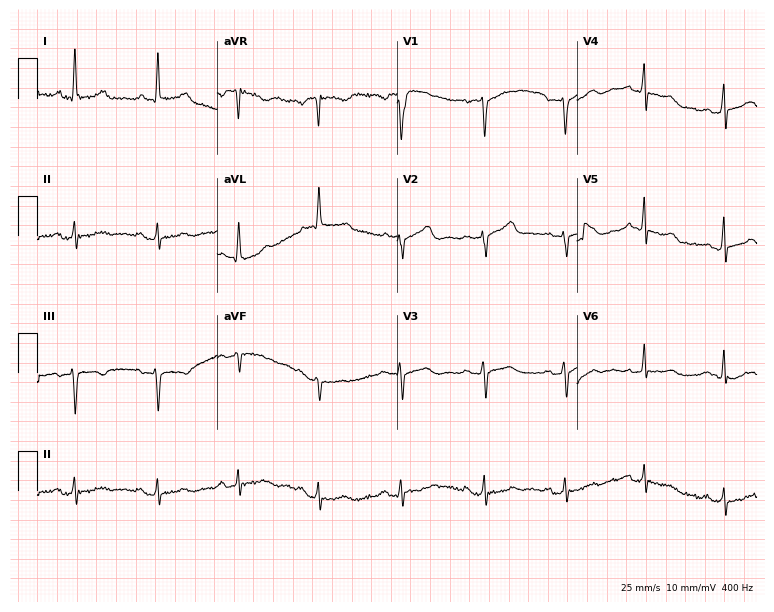
12-lead ECG from a female, 41 years old. No first-degree AV block, right bundle branch block, left bundle branch block, sinus bradycardia, atrial fibrillation or sinus tachycardia recorded for this tracing. Findings outside these six are not listed.